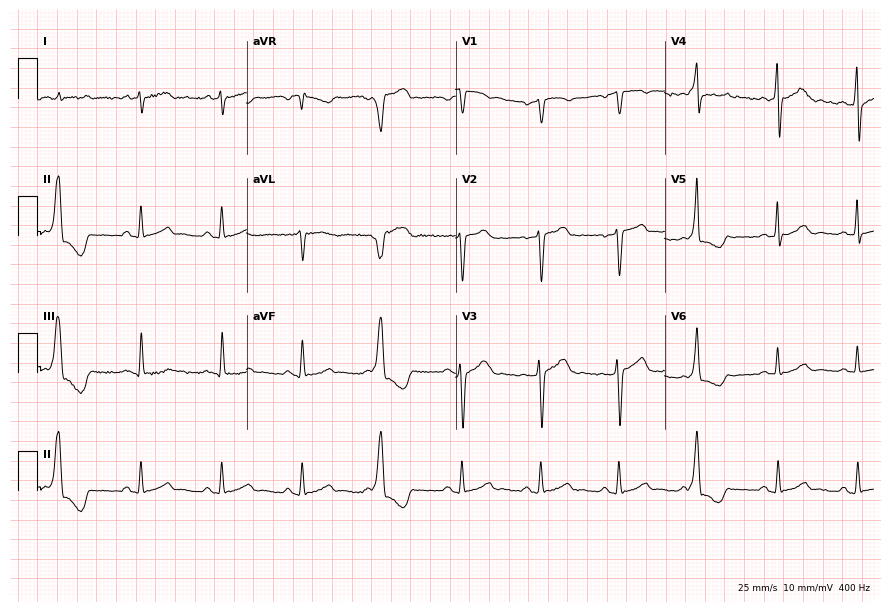
12-lead ECG (8.5-second recording at 400 Hz) from a 56-year-old male patient. Screened for six findings — first-degree AV block, right bundle branch block, left bundle branch block, sinus bradycardia, atrial fibrillation, sinus tachycardia — none is recorded.